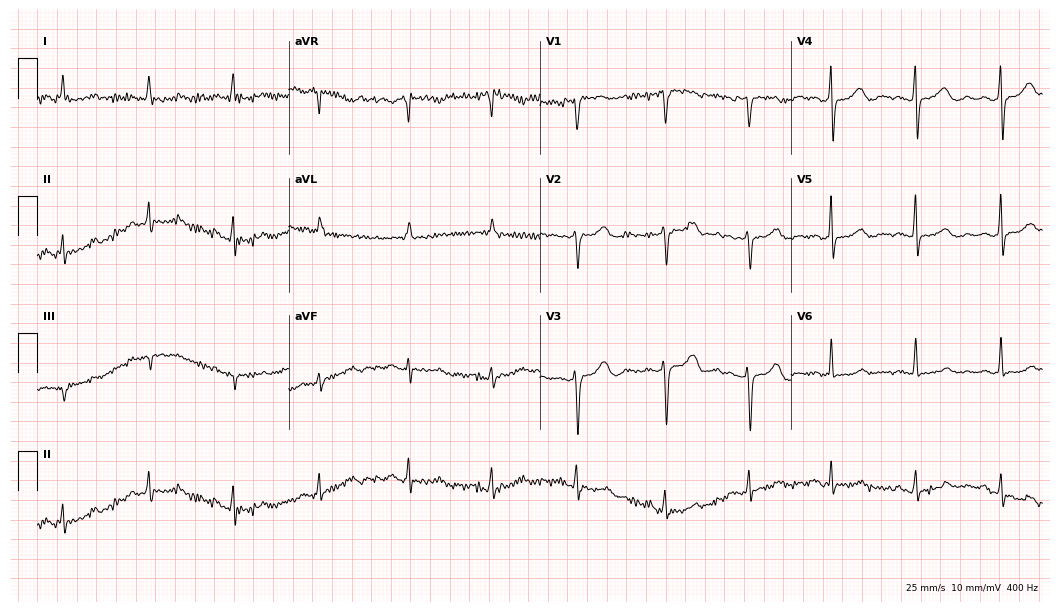
Standard 12-lead ECG recorded from a female patient, 65 years old. None of these six findings is recorded: first-degree AV block, right bundle branch block, left bundle branch block, sinus bradycardia, atrial fibrillation, sinus tachycardia. Findings outside these six are not listed.